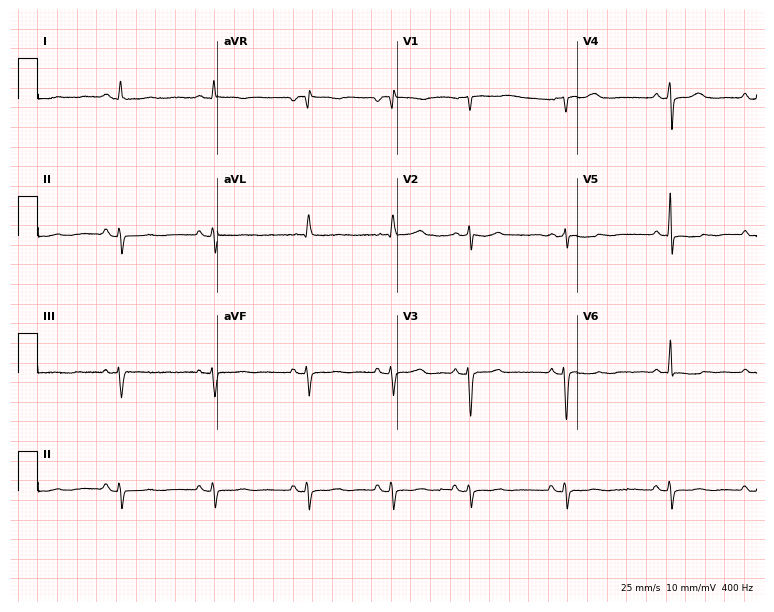
ECG (7.3-second recording at 400 Hz) — an 81-year-old female. Screened for six findings — first-degree AV block, right bundle branch block, left bundle branch block, sinus bradycardia, atrial fibrillation, sinus tachycardia — none is recorded. Only these six findings were labelled.